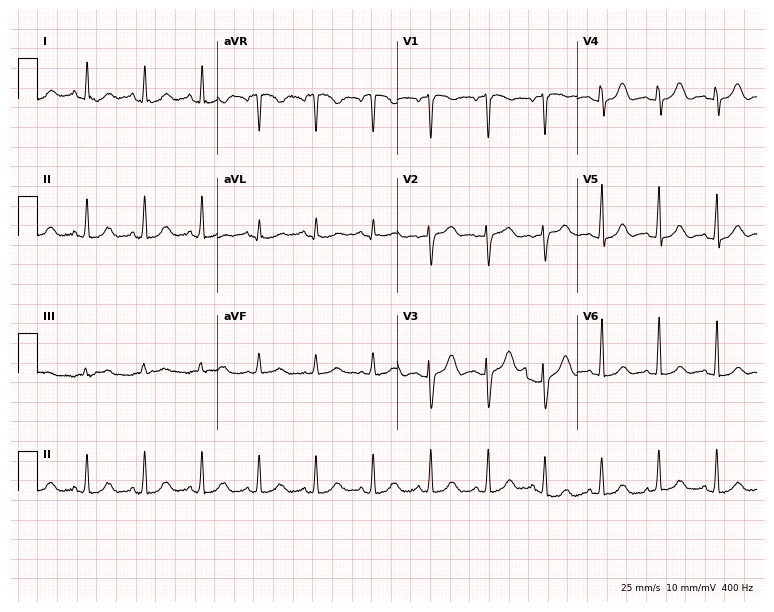
12-lead ECG (7.3-second recording at 400 Hz) from a female, 42 years old. Findings include sinus tachycardia (a sinus rate of 100 beats per minute or more).